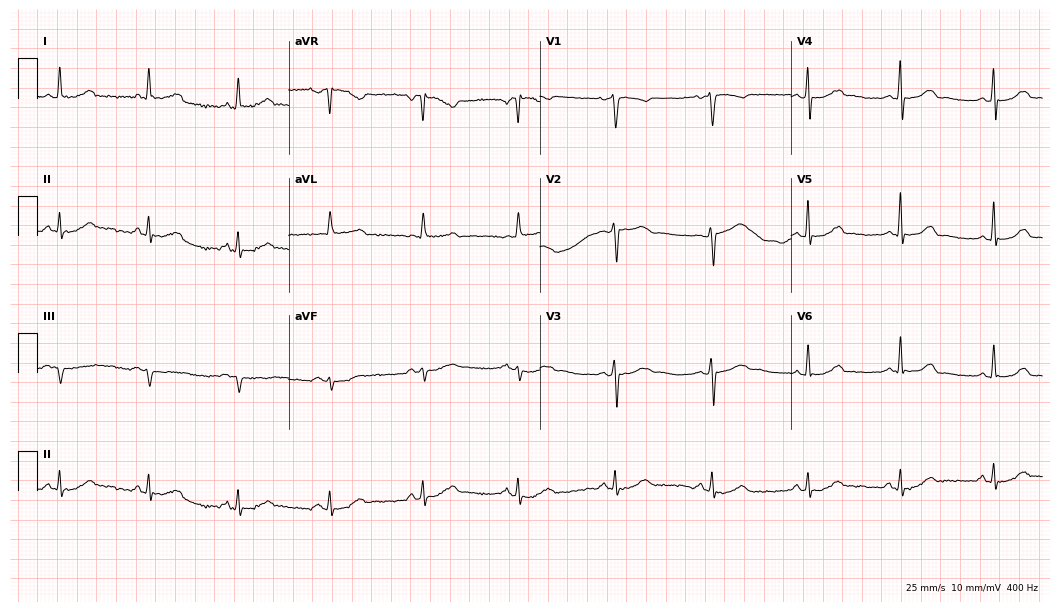
12-lead ECG from a woman, 58 years old (10.2-second recording at 400 Hz). Recorded interpretation: within normal limits.